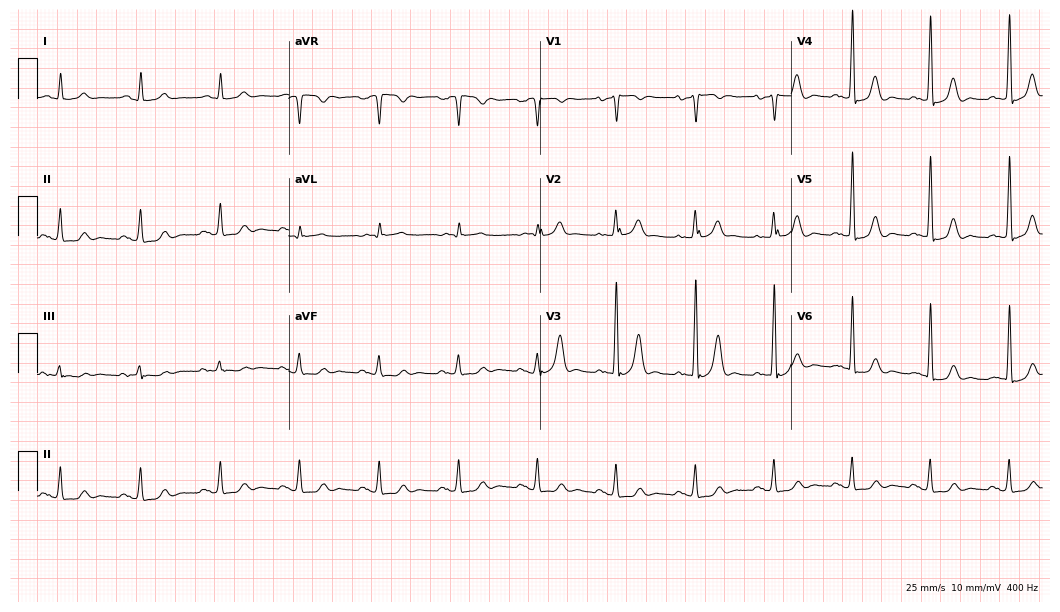
12-lead ECG from a male patient, 67 years old. Screened for six findings — first-degree AV block, right bundle branch block, left bundle branch block, sinus bradycardia, atrial fibrillation, sinus tachycardia — none is recorded.